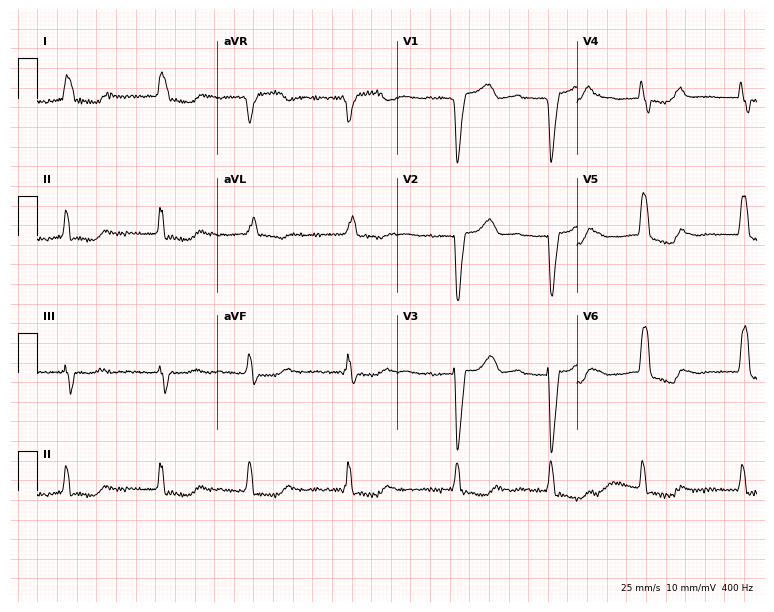
Standard 12-lead ECG recorded from a 75-year-old female patient (7.3-second recording at 400 Hz). The tracing shows left bundle branch block (LBBB), atrial fibrillation (AF).